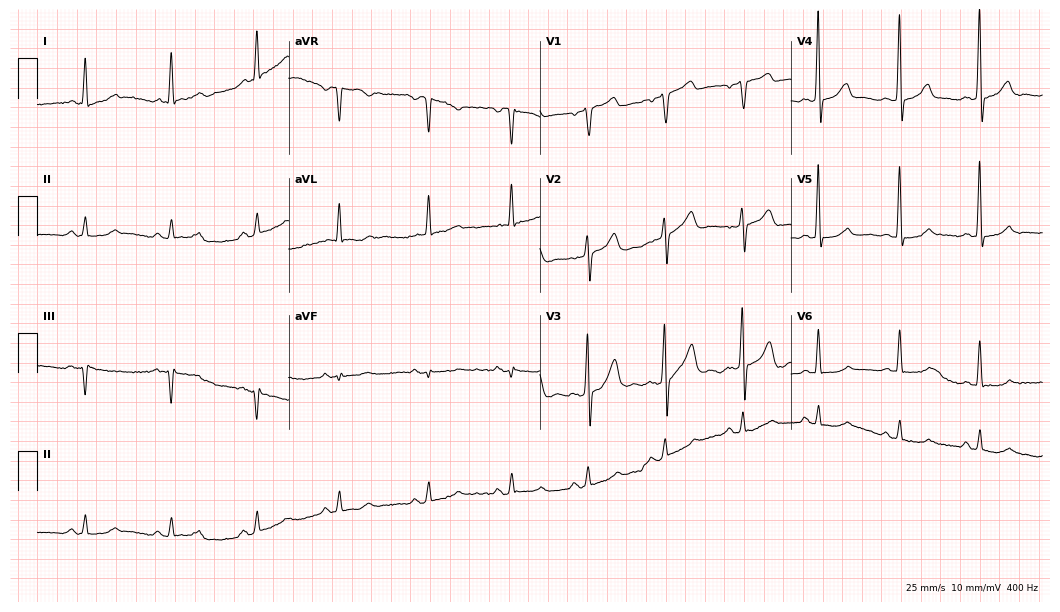
12-lead ECG from a male, 69 years old. Labelled as a normal ECG.